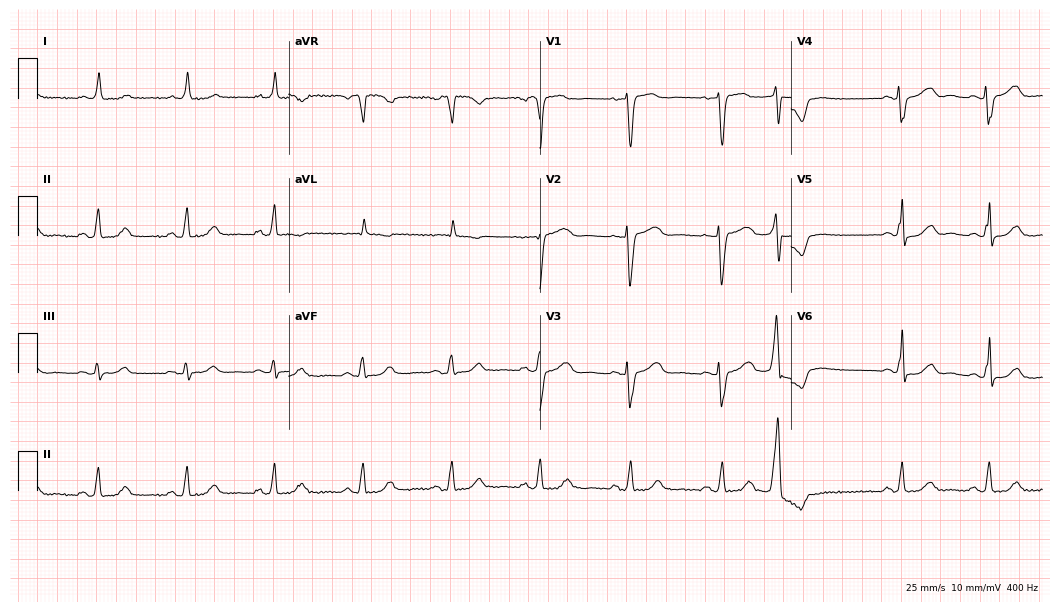
12-lead ECG (10.2-second recording at 400 Hz) from an 82-year-old female. Screened for six findings — first-degree AV block, right bundle branch block, left bundle branch block, sinus bradycardia, atrial fibrillation, sinus tachycardia — none is recorded. Findings outside these six are not listed.